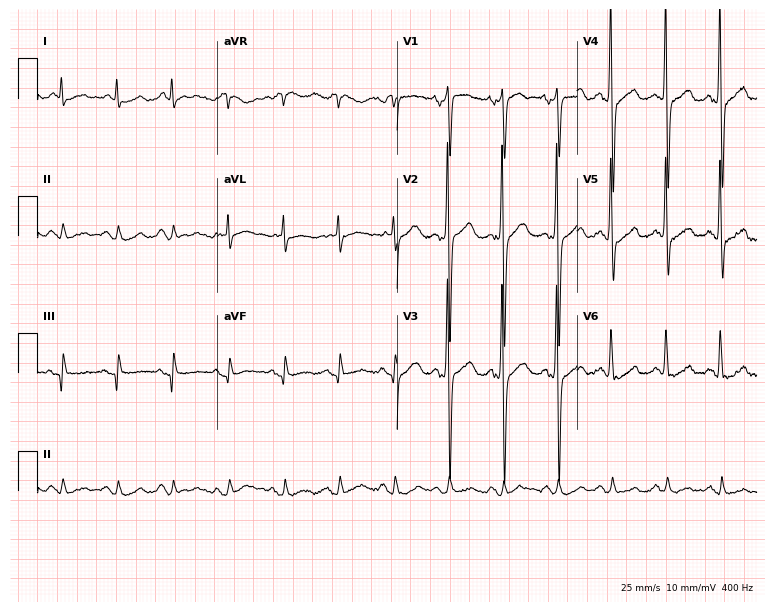
12-lead ECG from a 73-year-old male. No first-degree AV block, right bundle branch block (RBBB), left bundle branch block (LBBB), sinus bradycardia, atrial fibrillation (AF) or sinus tachycardia recorded for this tracing. Findings outside these six are not listed.